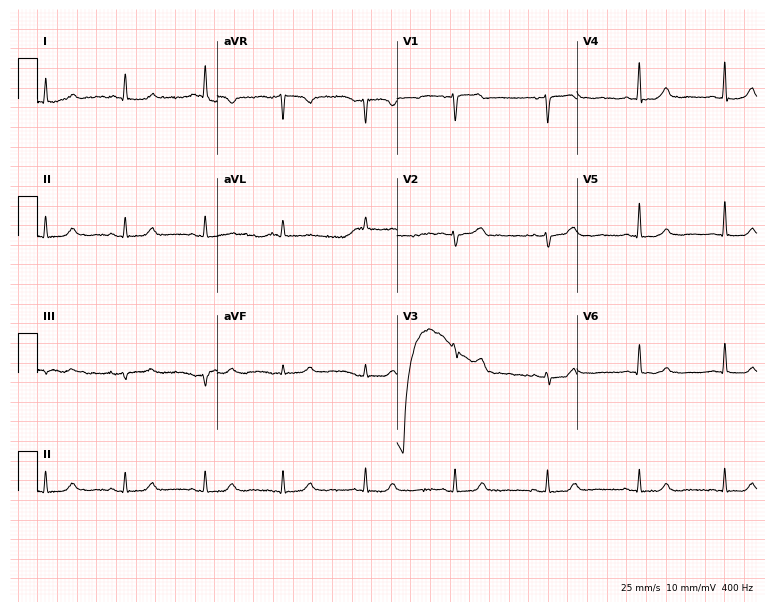
ECG — a 50-year-old female. Screened for six findings — first-degree AV block, right bundle branch block, left bundle branch block, sinus bradycardia, atrial fibrillation, sinus tachycardia — none is recorded. Findings outside these six are not listed.